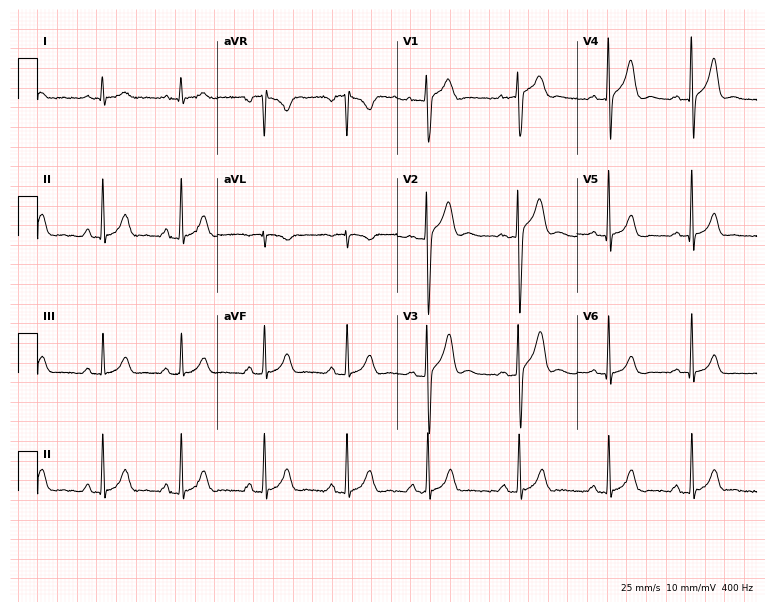
Resting 12-lead electrocardiogram (7.3-second recording at 400 Hz). Patient: a 19-year-old male. Read as a normal ECG.